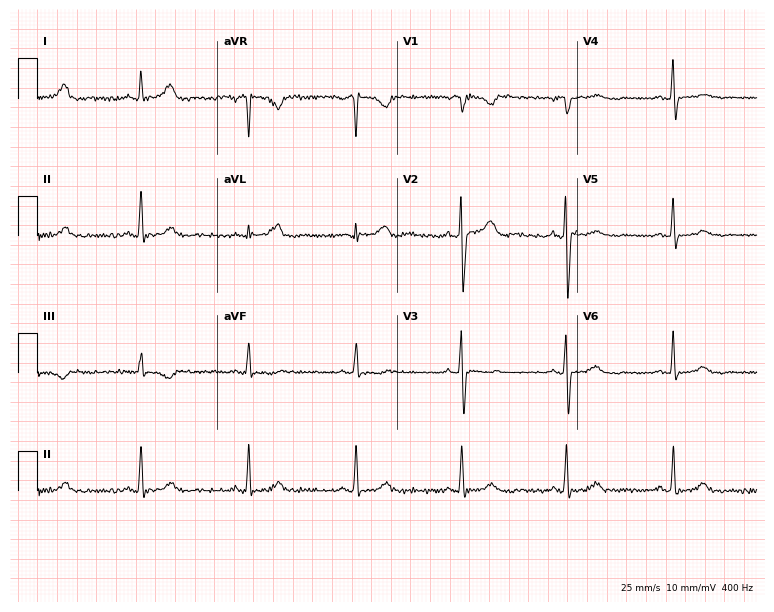
Electrocardiogram (7.3-second recording at 400 Hz), a 54-year-old female patient. Of the six screened findings (first-degree AV block, right bundle branch block, left bundle branch block, sinus bradycardia, atrial fibrillation, sinus tachycardia), none is recorded. Findings outside these six are not listed.